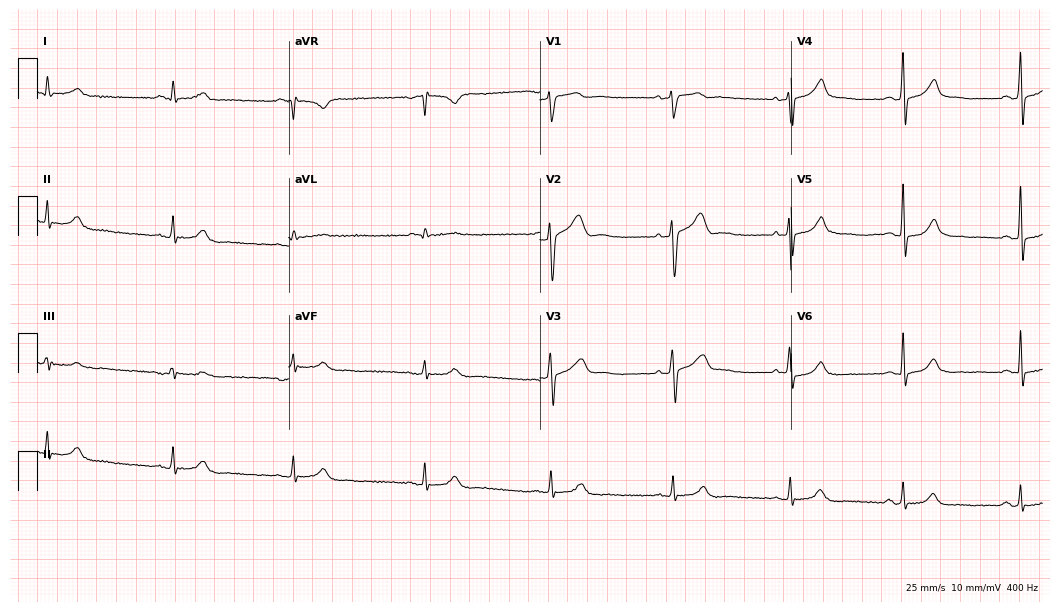
Resting 12-lead electrocardiogram. Patient: a man, 48 years old. Read as a normal ECG.